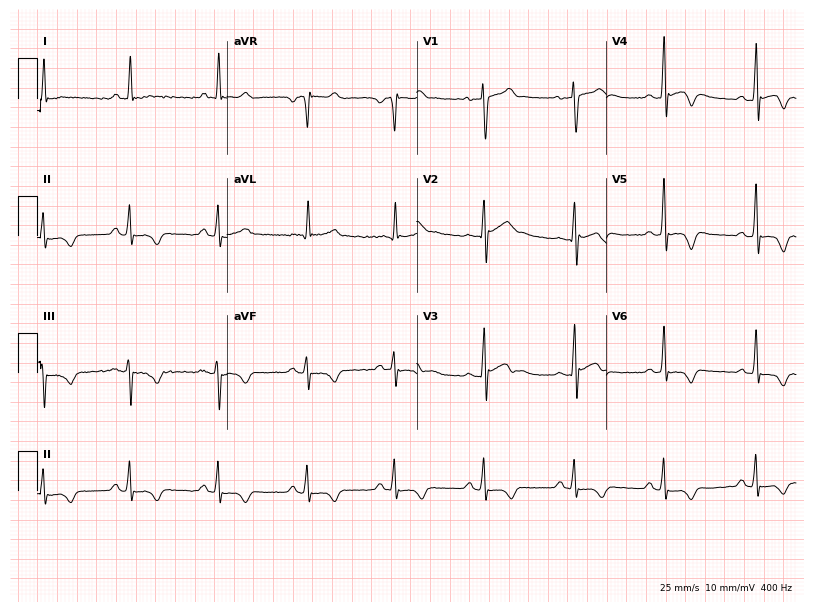
Electrocardiogram (7.7-second recording at 400 Hz), a 40-year-old male patient. Of the six screened findings (first-degree AV block, right bundle branch block (RBBB), left bundle branch block (LBBB), sinus bradycardia, atrial fibrillation (AF), sinus tachycardia), none is recorded.